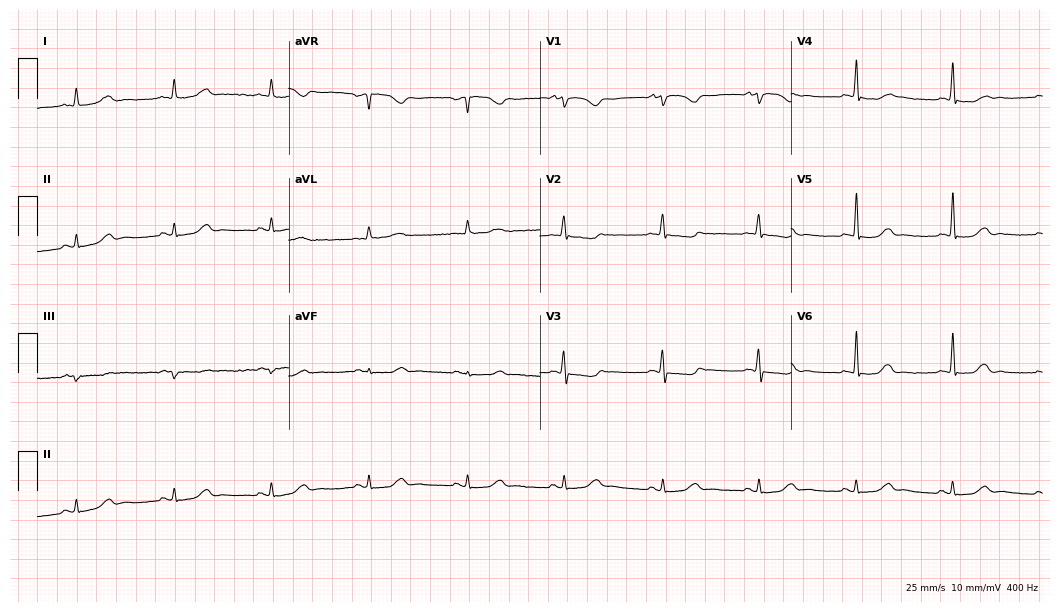
12-lead ECG from a 38-year-old female. Labelled as a normal ECG.